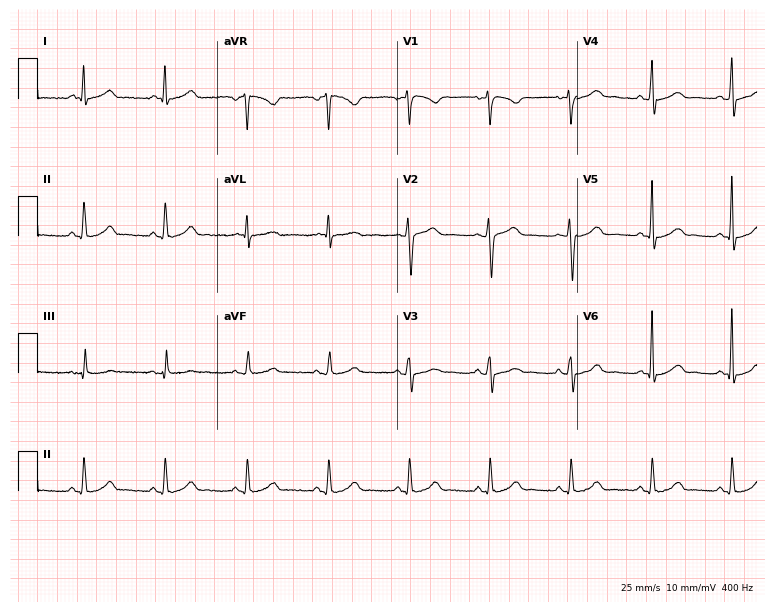
ECG (7.3-second recording at 400 Hz) — a man, 50 years old. Labelled as a normal ECG.